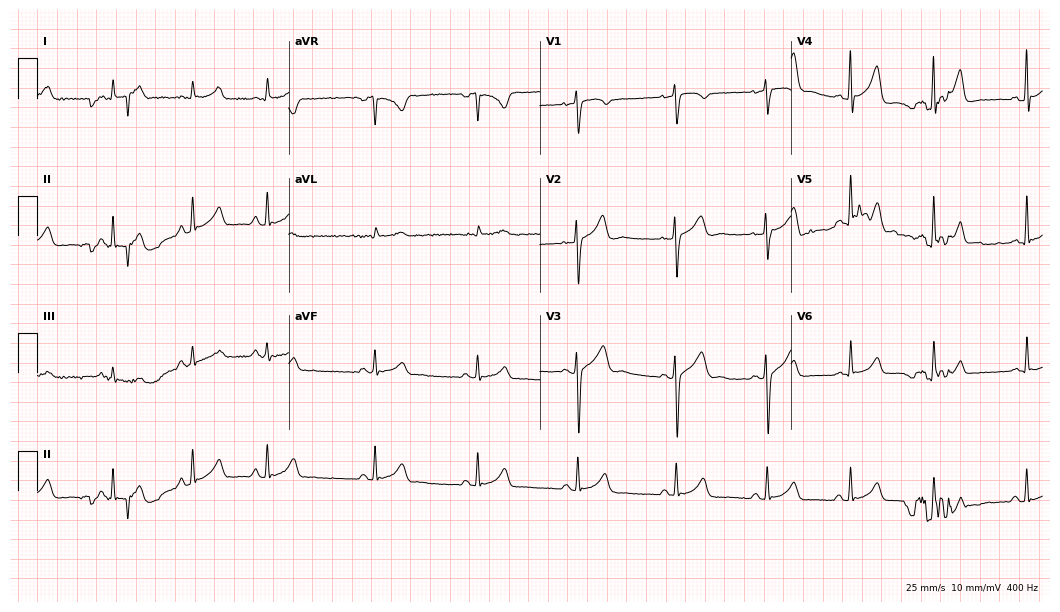
Electrocardiogram (10.2-second recording at 400 Hz), a male, 32 years old. Of the six screened findings (first-degree AV block, right bundle branch block, left bundle branch block, sinus bradycardia, atrial fibrillation, sinus tachycardia), none is recorded. Findings outside these six are not listed.